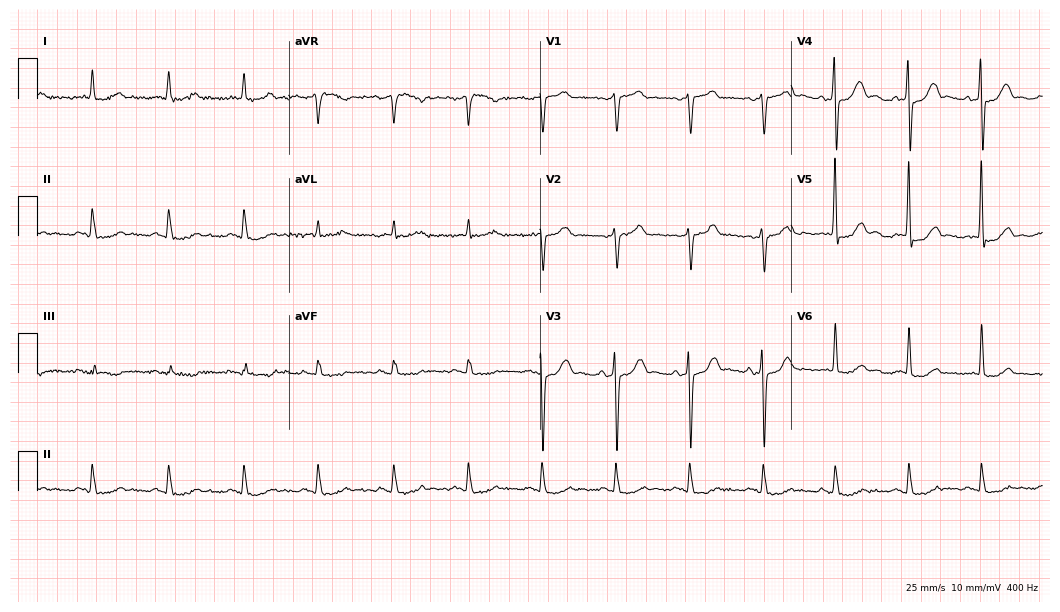
Standard 12-lead ECG recorded from a male patient, 77 years old. Read as a normal ECG.